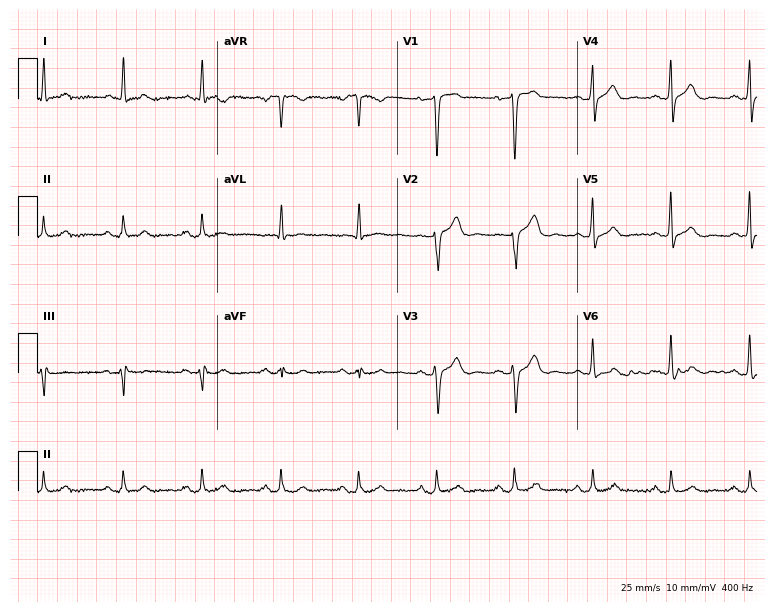
ECG — a 66-year-old male. Screened for six findings — first-degree AV block, right bundle branch block (RBBB), left bundle branch block (LBBB), sinus bradycardia, atrial fibrillation (AF), sinus tachycardia — none is recorded.